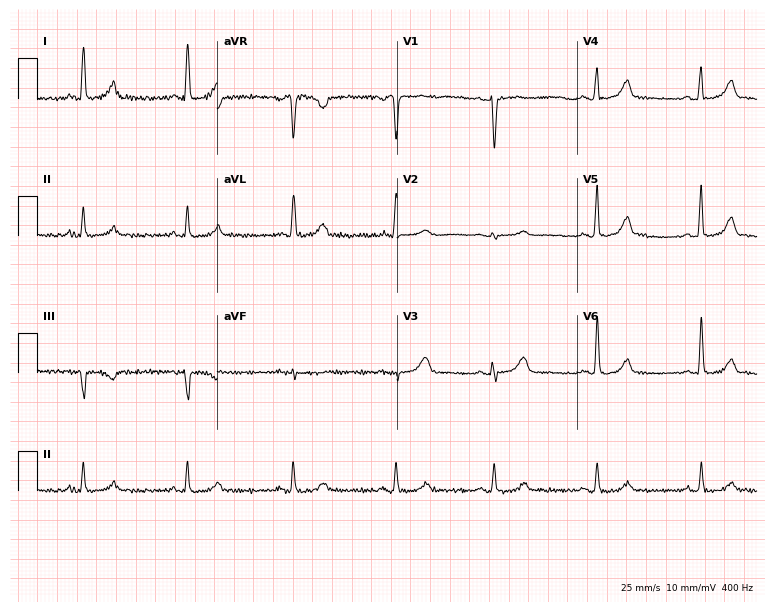
Resting 12-lead electrocardiogram. Patient: a female, 60 years old. Read as a normal ECG.